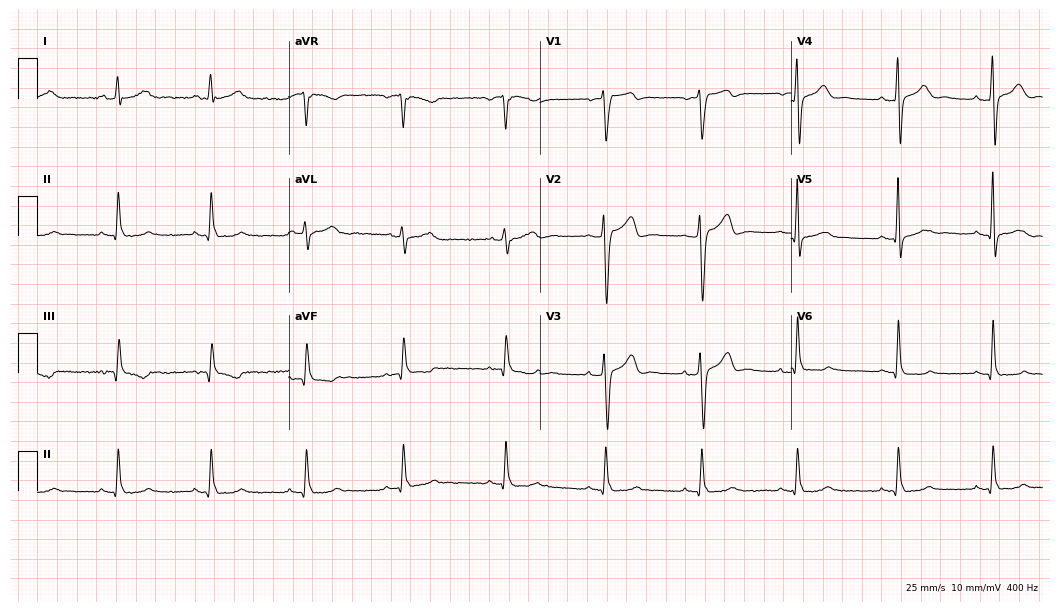
Standard 12-lead ECG recorded from a male, 40 years old (10.2-second recording at 400 Hz). None of these six findings is recorded: first-degree AV block, right bundle branch block, left bundle branch block, sinus bradycardia, atrial fibrillation, sinus tachycardia. Other findings, if any, are not listed.